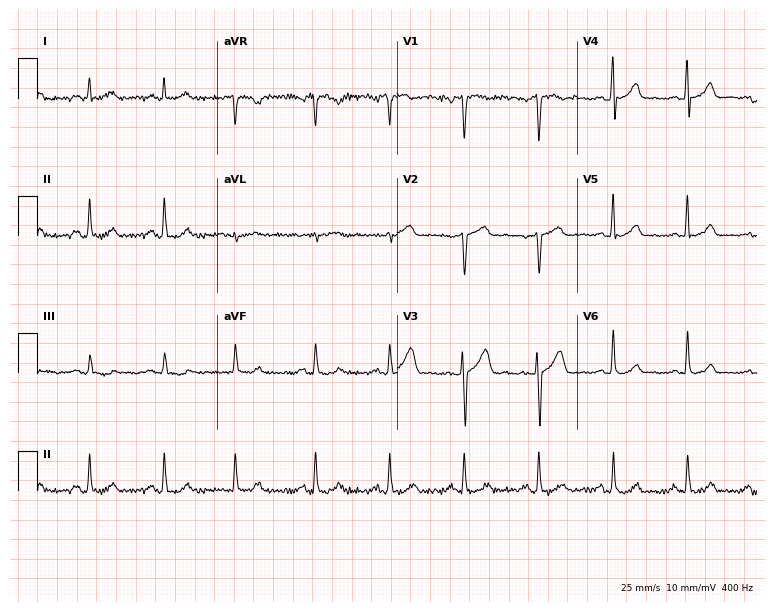
Electrocardiogram, a 63-year-old male. Overall reading on record: normal ECG.